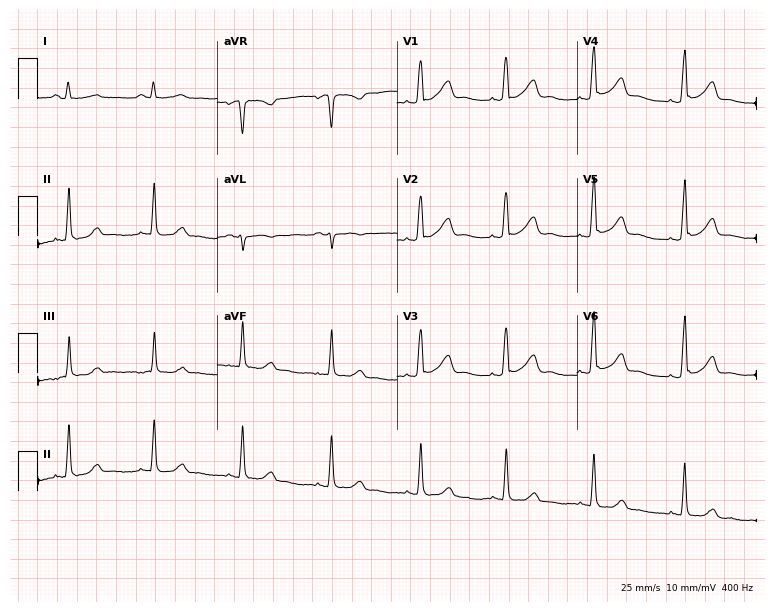
12-lead ECG from a female patient, 31 years old (7.3-second recording at 400 Hz). No first-degree AV block, right bundle branch block (RBBB), left bundle branch block (LBBB), sinus bradycardia, atrial fibrillation (AF) or sinus tachycardia recorded for this tracing. Other findings, if any, are not listed.